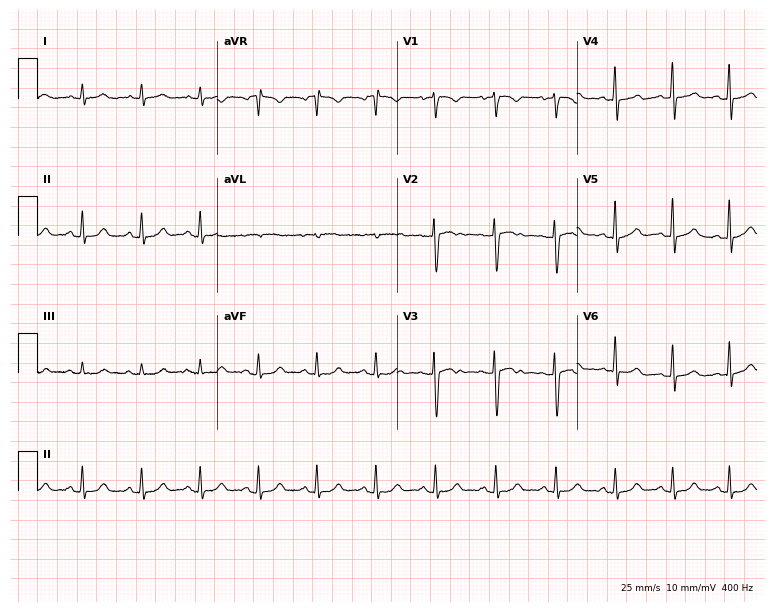
Standard 12-lead ECG recorded from a 26-year-old woman (7.3-second recording at 400 Hz). Read as a normal ECG.